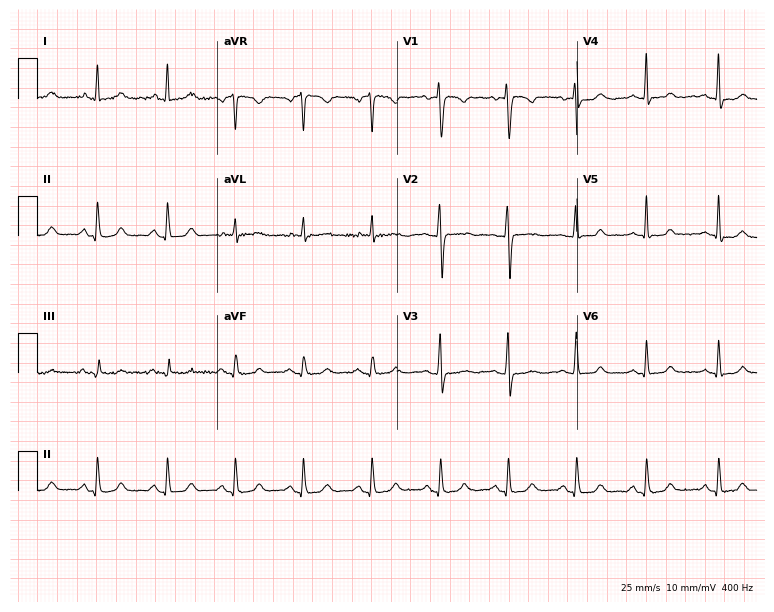
Electrocardiogram (7.3-second recording at 400 Hz), a 30-year-old woman. Overall reading on record: normal ECG.